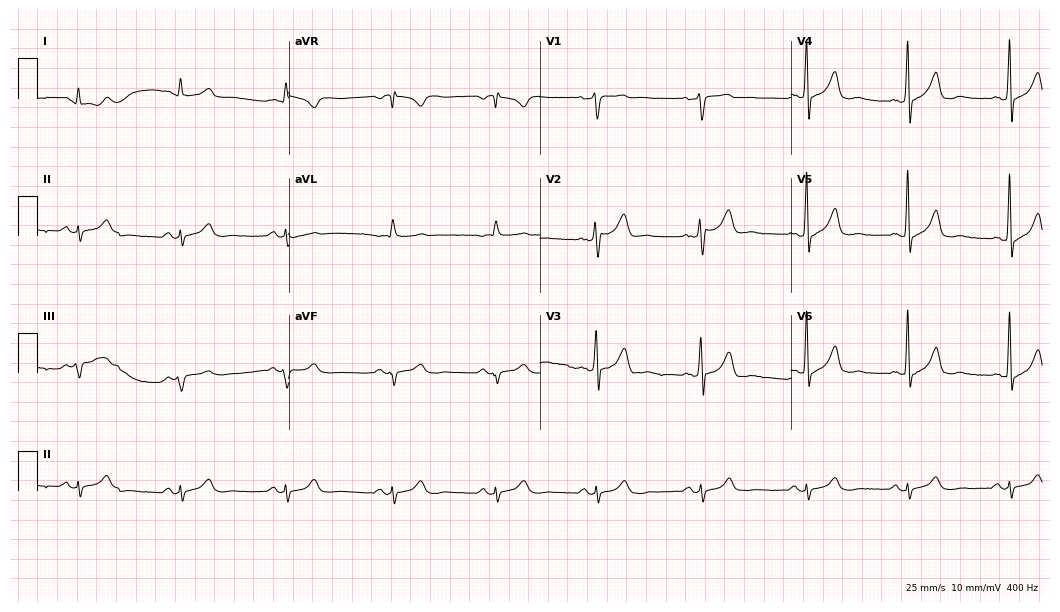
Standard 12-lead ECG recorded from a male, 62 years old. None of these six findings is recorded: first-degree AV block, right bundle branch block, left bundle branch block, sinus bradycardia, atrial fibrillation, sinus tachycardia. Other findings, if any, are not listed.